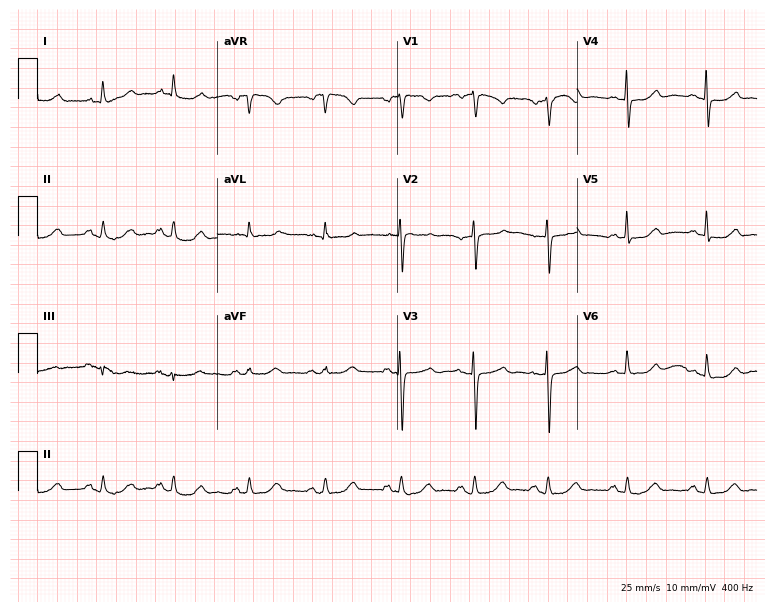
Standard 12-lead ECG recorded from a woman, 59 years old. None of these six findings is recorded: first-degree AV block, right bundle branch block, left bundle branch block, sinus bradycardia, atrial fibrillation, sinus tachycardia.